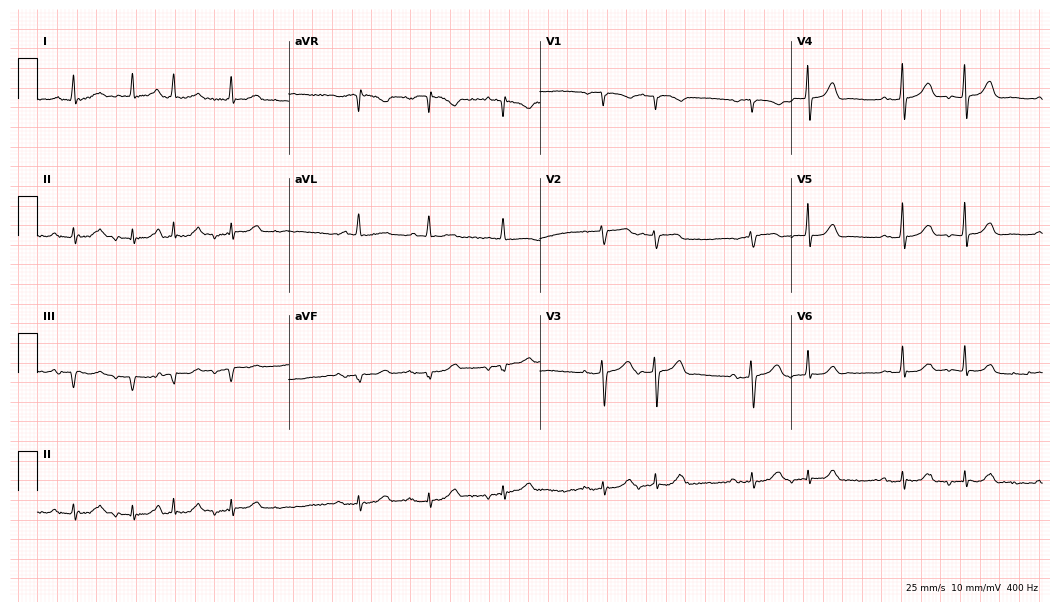
Resting 12-lead electrocardiogram. Patient: an 84-year-old female. None of these six findings is recorded: first-degree AV block, right bundle branch block, left bundle branch block, sinus bradycardia, atrial fibrillation, sinus tachycardia.